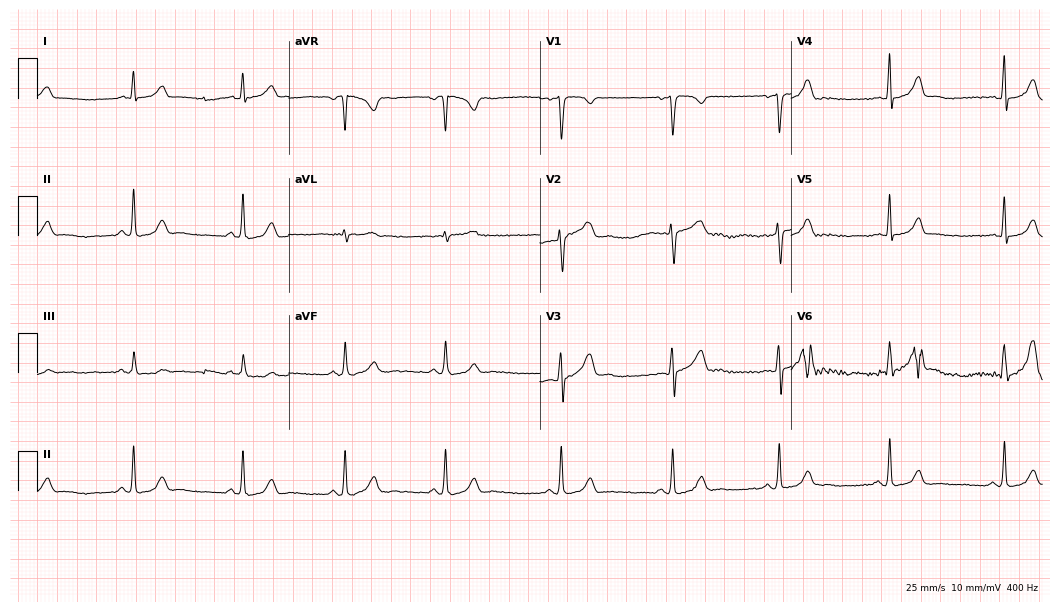
12-lead ECG (10.2-second recording at 400 Hz) from a male patient, 26 years old. Labelled as a normal ECG.